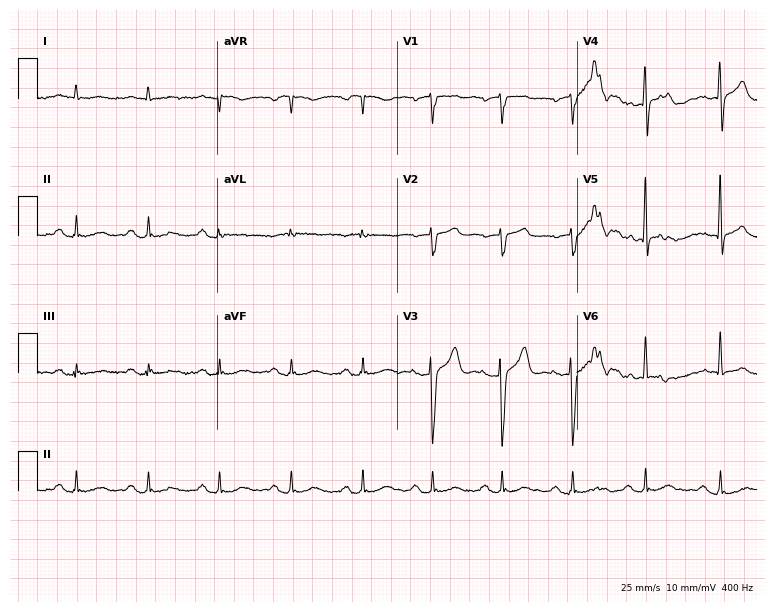
12-lead ECG from a male, 65 years old. Screened for six findings — first-degree AV block, right bundle branch block, left bundle branch block, sinus bradycardia, atrial fibrillation, sinus tachycardia — none is recorded. Findings outside these six are not listed.